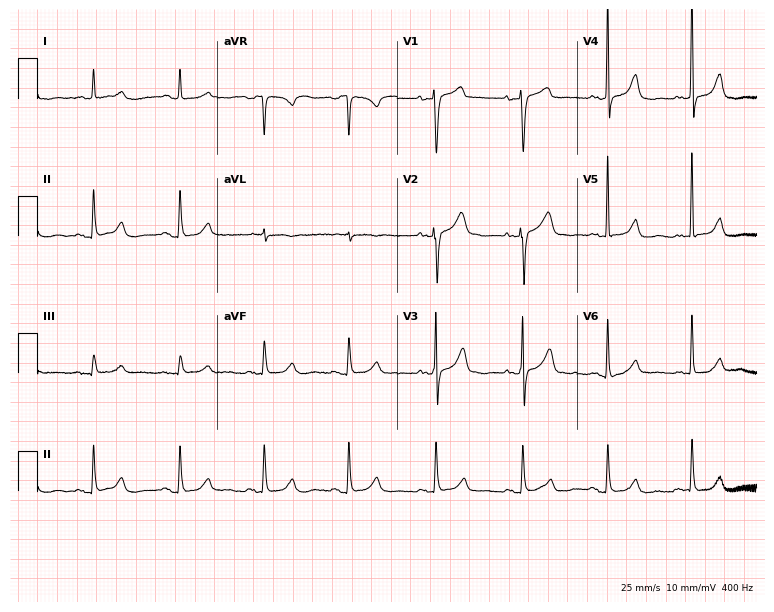
12-lead ECG (7.3-second recording at 400 Hz) from a female patient, 83 years old. Labelled as a normal ECG.